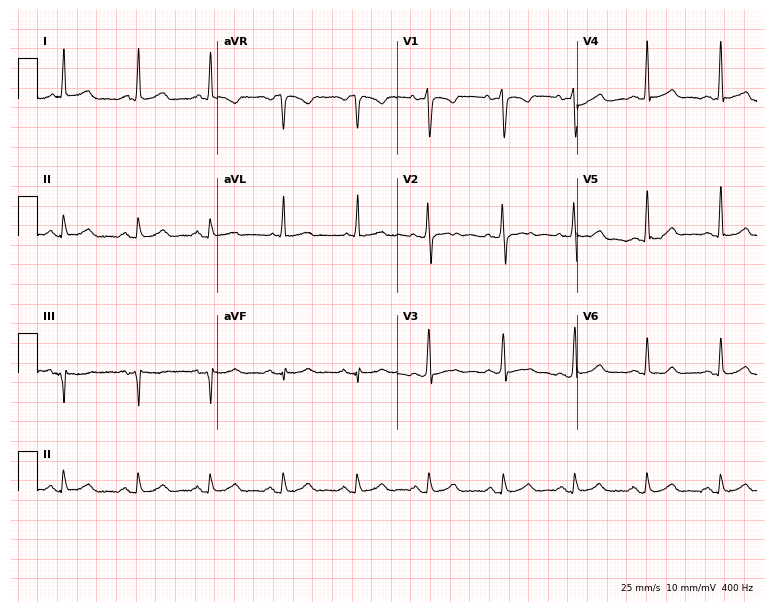
Standard 12-lead ECG recorded from a 41-year-old female patient (7.3-second recording at 400 Hz). None of these six findings is recorded: first-degree AV block, right bundle branch block, left bundle branch block, sinus bradycardia, atrial fibrillation, sinus tachycardia. Only these six findings were labelled.